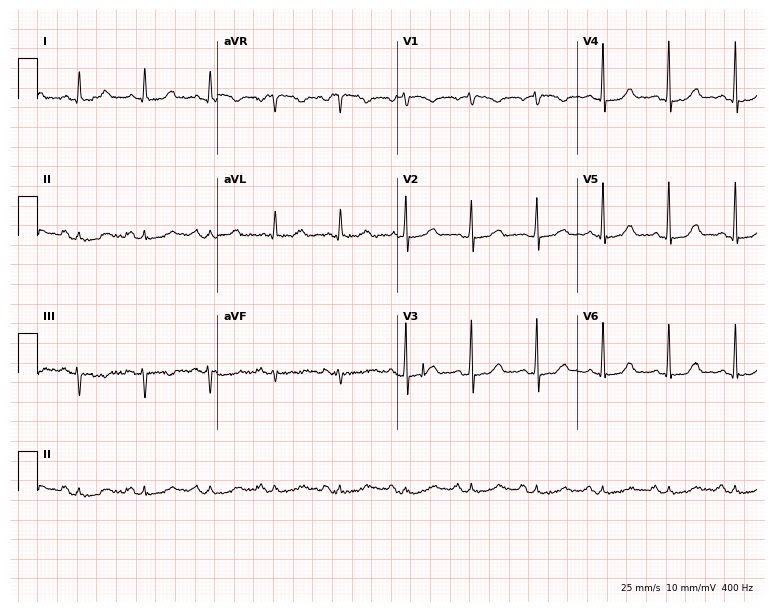
Resting 12-lead electrocardiogram. Patient: a 64-year-old female. Read as a normal ECG.